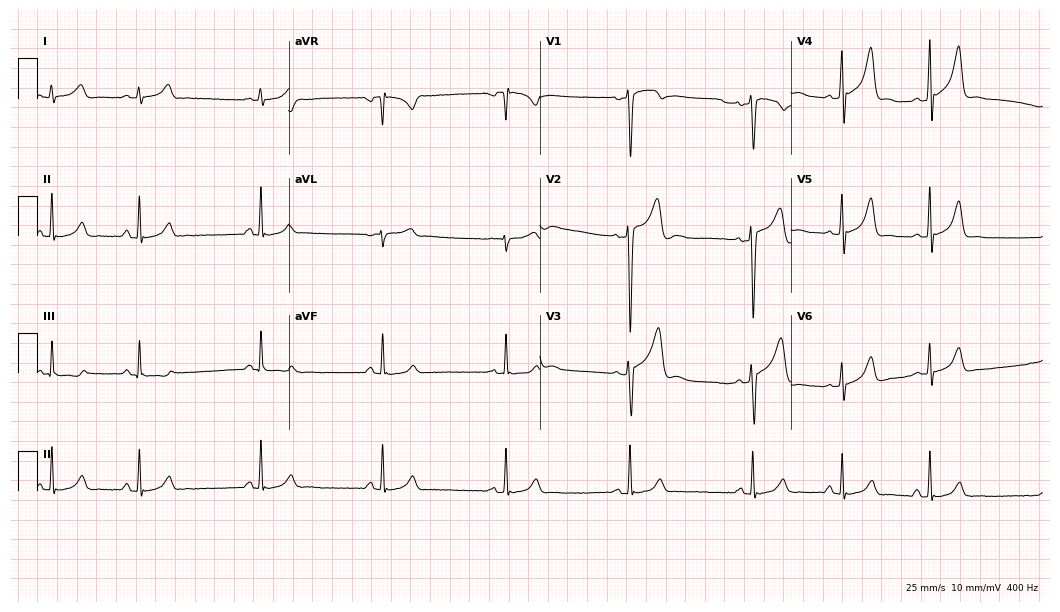
ECG — a male patient, 20 years old. Labelled as a normal ECG.